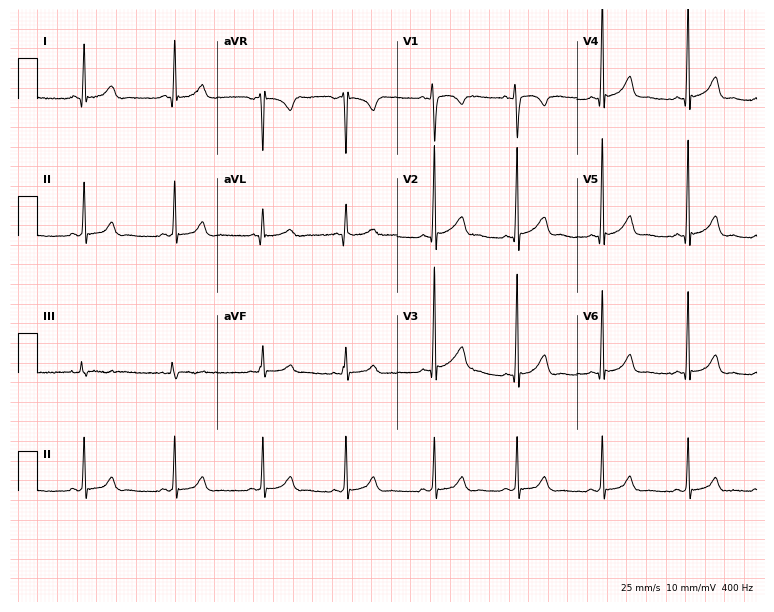
Standard 12-lead ECG recorded from a woman, 18 years old (7.3-second recording at 400 Hz). Read as a normal ECG.